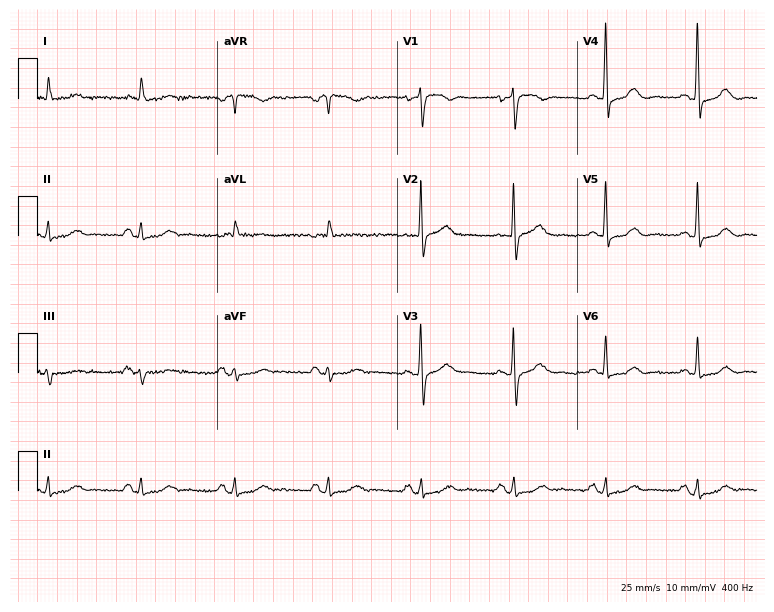
Resting 12-lead electrocardiogram (7.3-second recording at 400 Hz). Patient: a female, 85 years old. None of these six findings is recorded: first-degree AV block, right bundle branch block, left bundle branch block, sinus bradycardia, atrial fibrillation, sinus tachycardia. Findings outside these six are not listed.